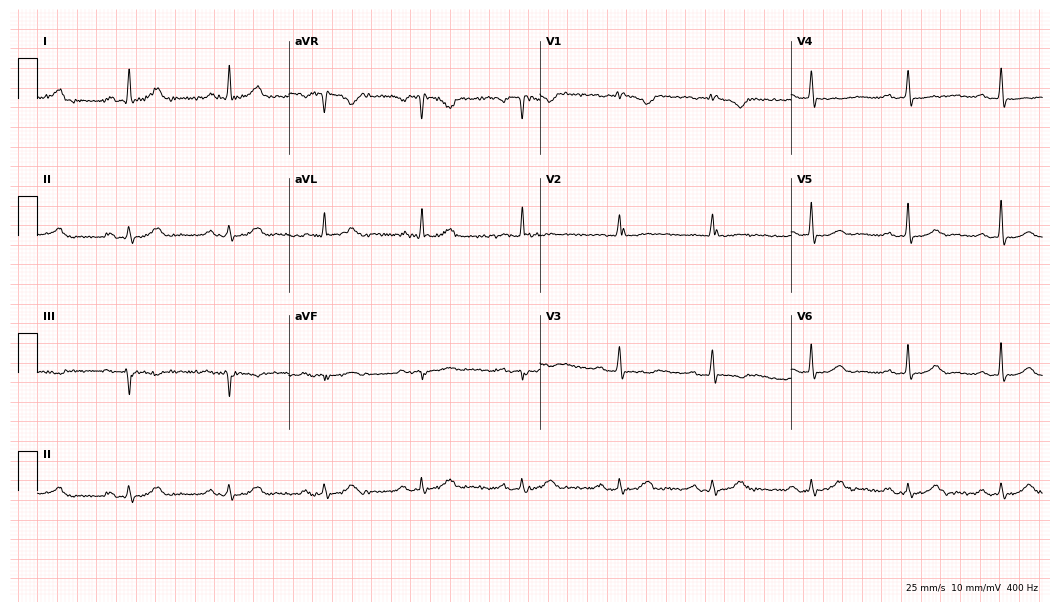
Resting 12-lead electrocardiogram. Patient: a 61-year-old female. The tracing shows first-degree AV block.